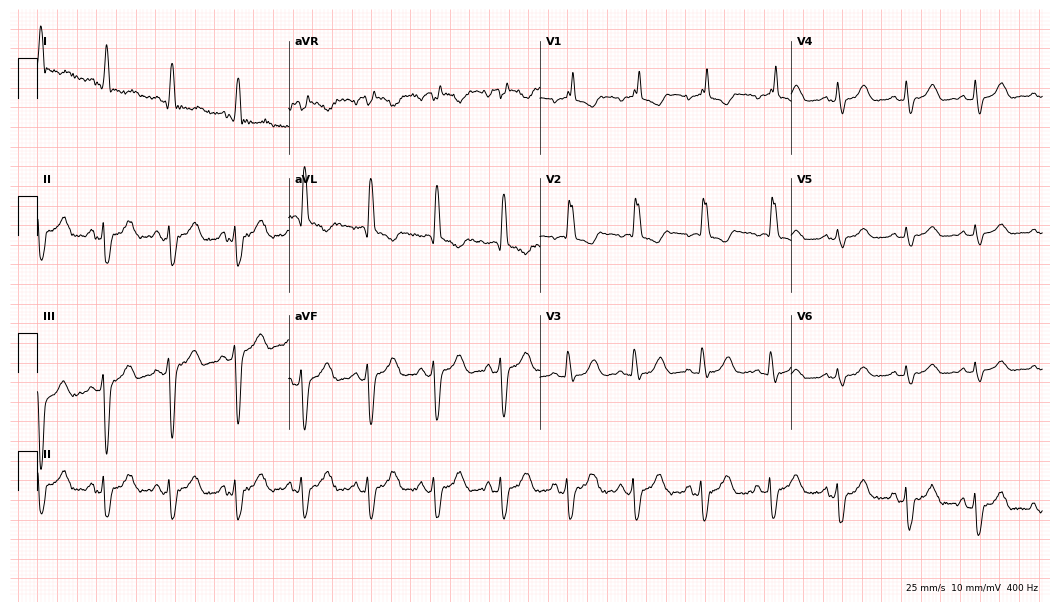
Resting 12-lead electrocardiogram (10.2-second recording at 400 Hz). Patient: a female, 76 years old. The tracing shows right bundle branch block.